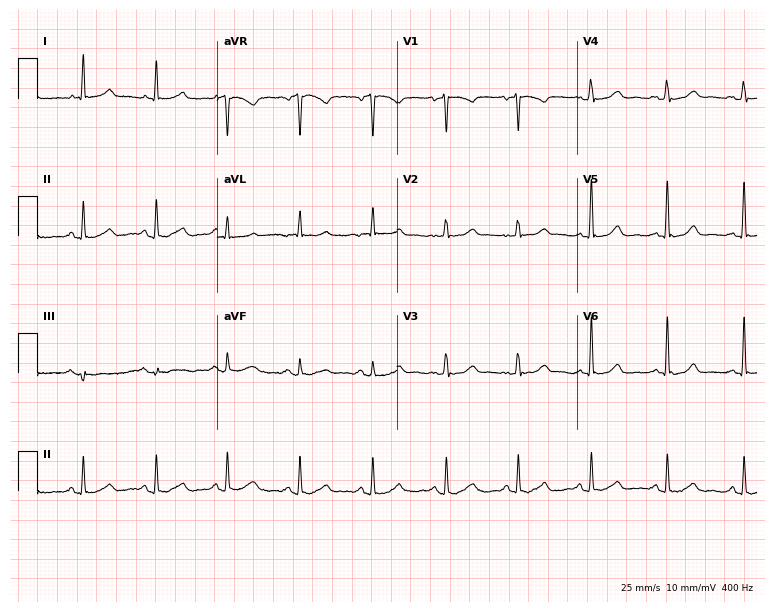
12-lead ECG from a female patient, 50 years old (7.3-second recording at 400 Hz). Recorded interpretation: within normal limits.